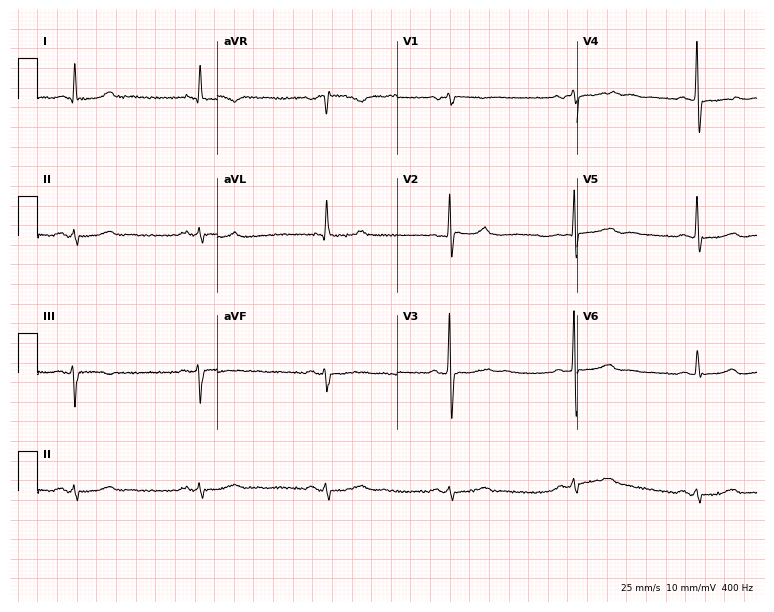
ECG (7.3-second recording at 400 Hz) — a man, 74 years old. Screened for six findings — first-degree AV block, right bundle branch block, left bundle branch block, sinus bradycardia, atrial fibrillation, sinus tachycardia — none is recorded. Only these six findings were labelled.